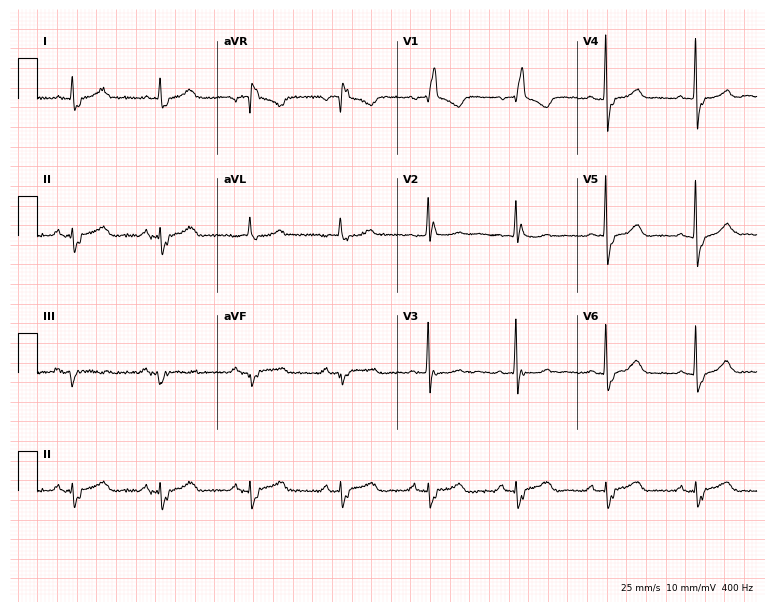
12-lead ECG (7.3-second recording at 400 Hz) from a female, 71 years old. Findings include right bundle branch block.